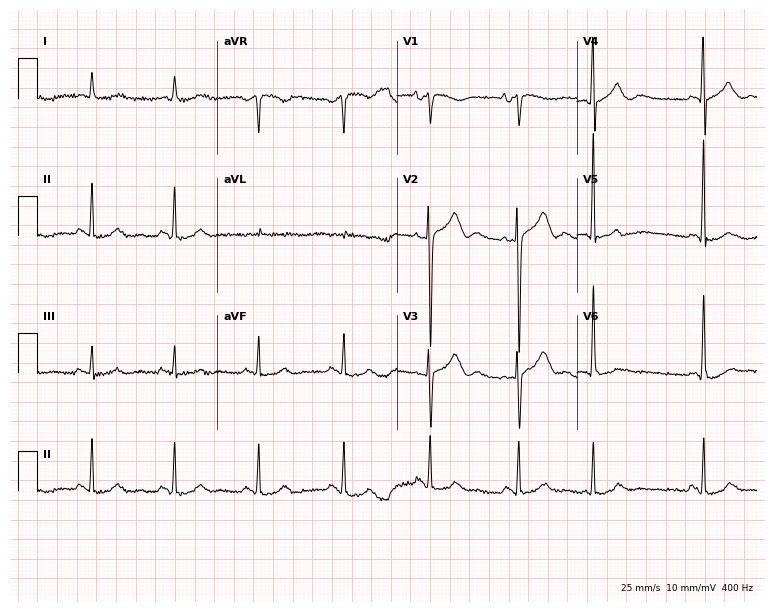
Standard 12-lead ECG recorded from a woman, 82 years old. None of these six findings is recorded: first-degree AV block, right bundle branch block (RBBB), left bundle branch block (LBBB), sinus bradycardia, atrial fibrillation (AF), sinus tachycardia. Only these six findings were labelled.